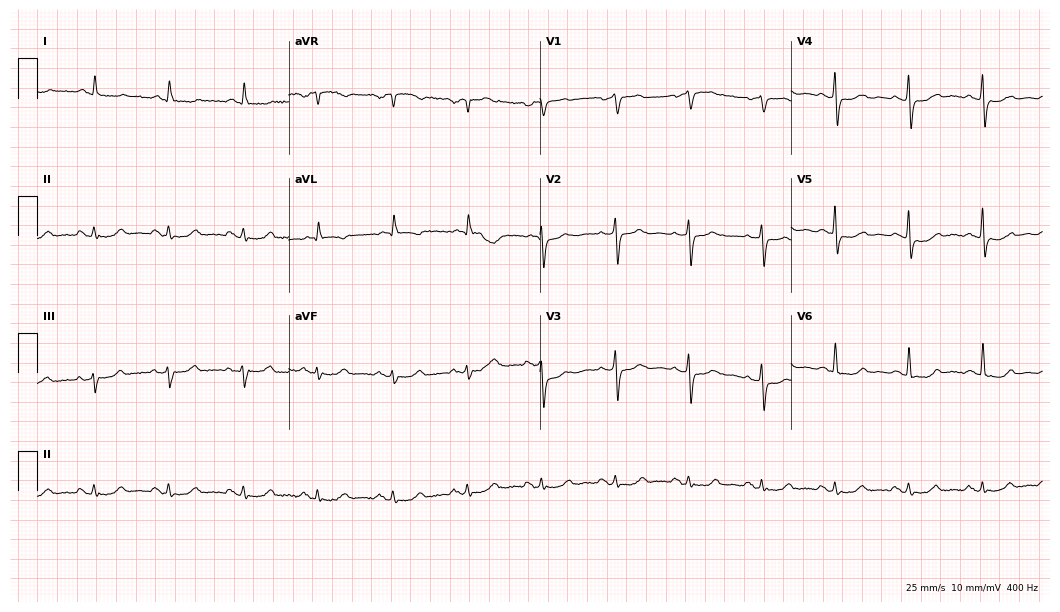
Electrocardiogram, a 70-year-old woman. Overall reading on record: normal ECG.